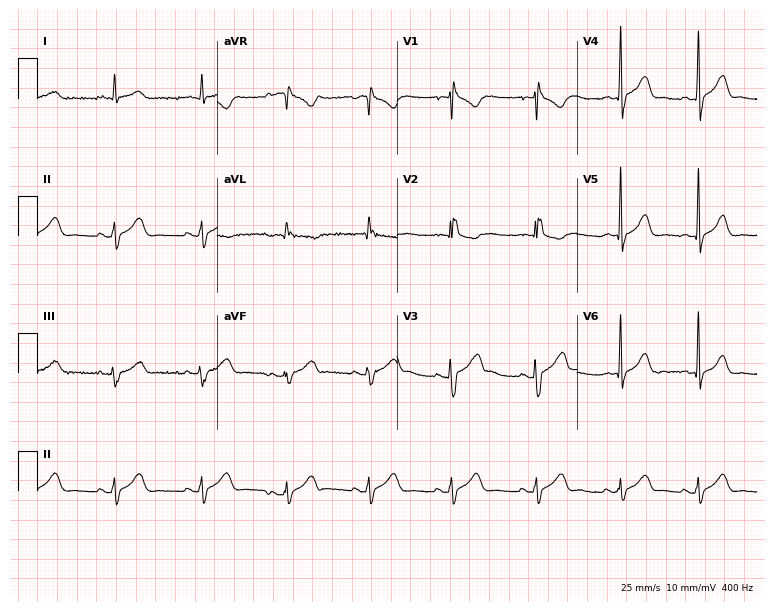
Electrocardiogram (7.3-second recording at 400 Hz), a 38-year-old male. Of the six screened findings (first-degree AV block, right bundle branch block, left bundle branch block, sinus bradycardia, atrial fibrillation, sinus tachycardia), none is recorded. Other findings, if any, are not listed.